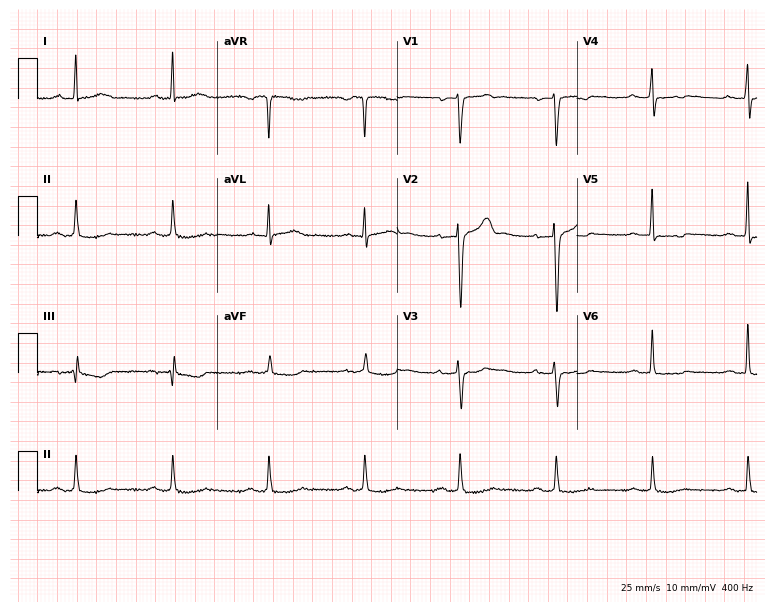
12-lead ECG from a 57-year-old man. Findings include first-degree AV block.